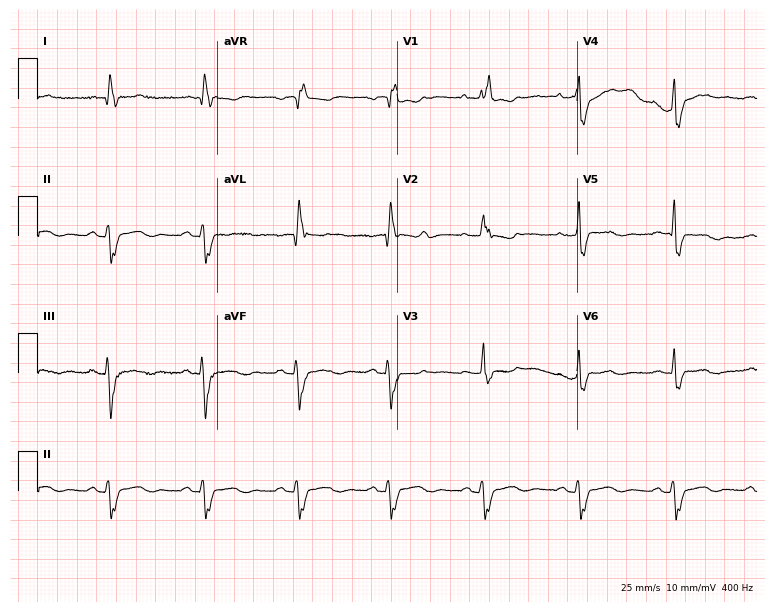
12-lead ECG from a female patient, 46 years old. Shows right bundle branch block.